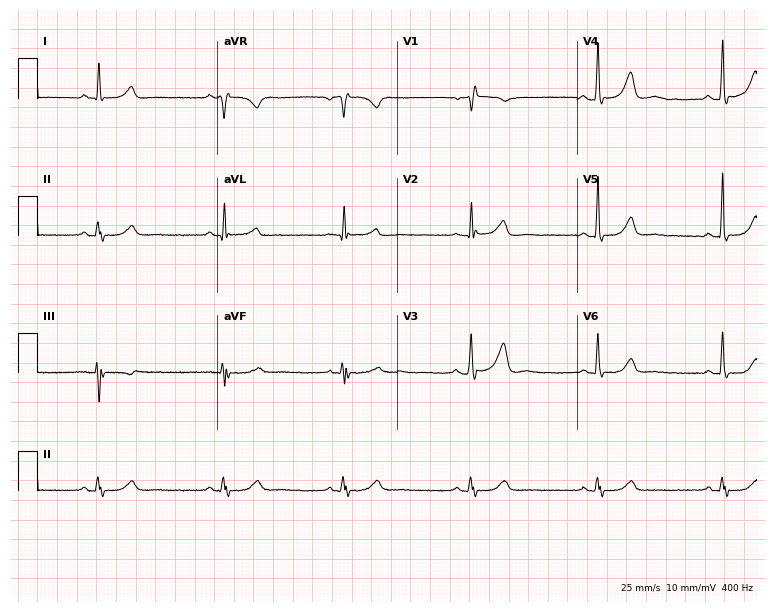
ECG — a male, 77 years old. Findings include sinus bradycardia (a sinus rate of 50 beats per minute or less).